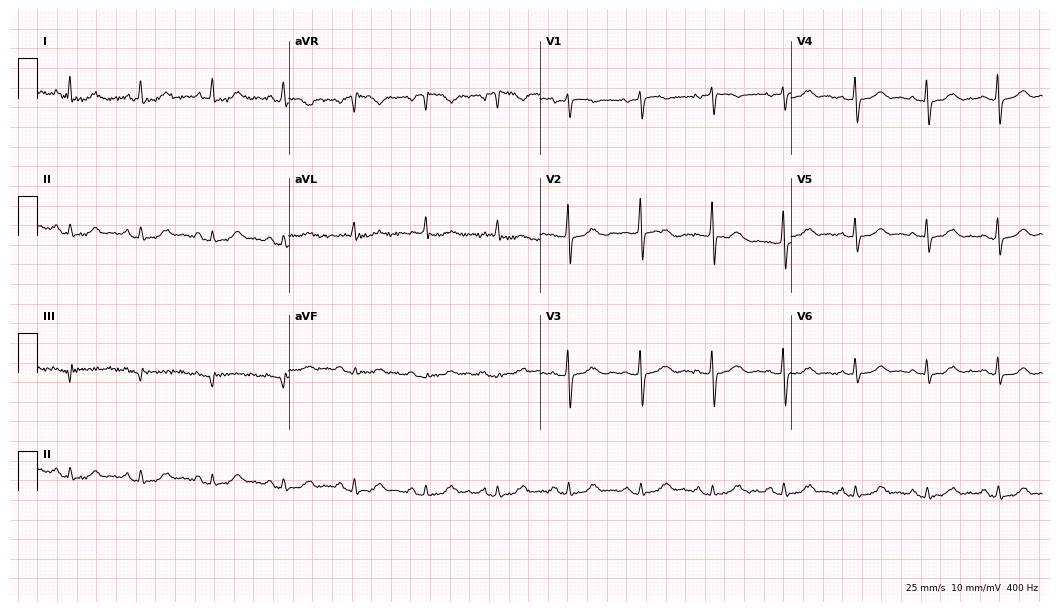
12-lead ECG from a woman, 73 years old. Screened for six findings — first-degree AV block, right bundle branch block (RBBB), left bundle branch block (LBBB), sinus bradycardia, atrial fibrillation (AF), sinus tachycardia — none is recorded.